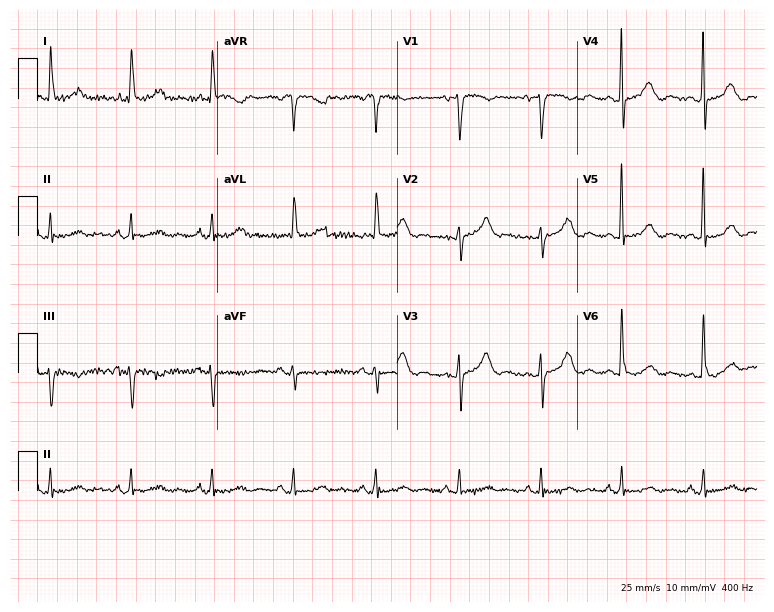
ECG — a female, 64 years old. Screened for six findings — first-degree AV block, right bundle branch block, left bundle branch block, sinus bradycardia, atrial fibrillation, sinus tachycardia — none is recorded.